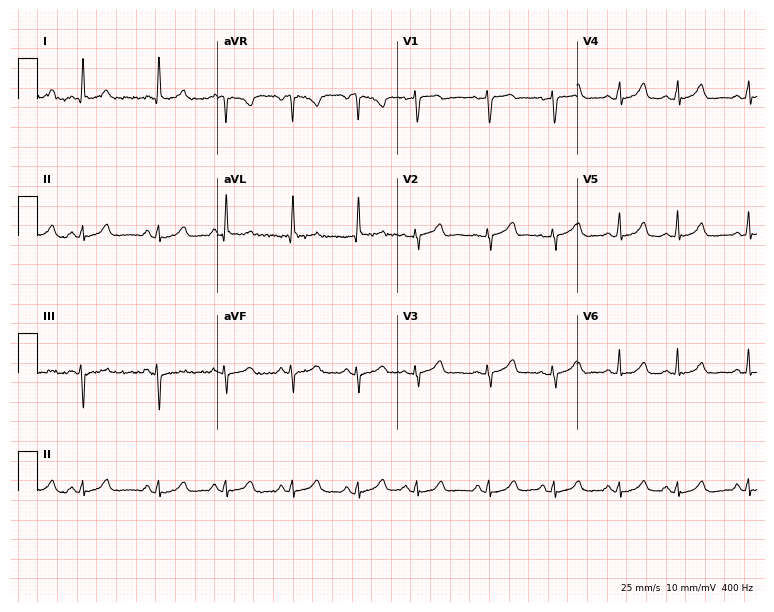
Resting 12-lead electrocardiogram. Patient: a woman, 71 years old. None of these six findings is recorded: first-degree AV block, right bundle branch block, left bundle branch block, sinus bradycardia, atrial fibrillation, sinus tachycardia.